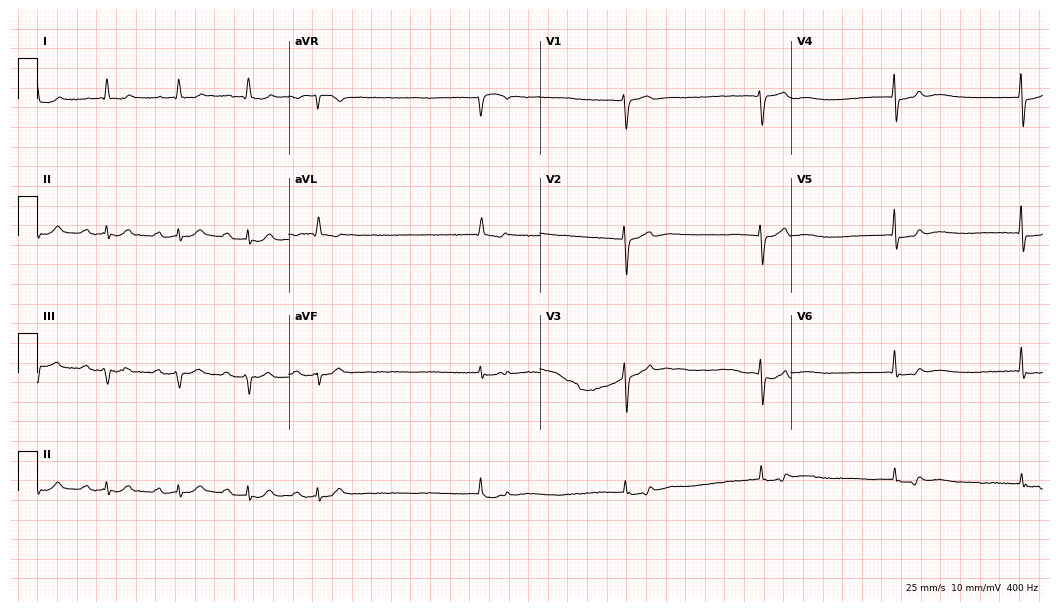
12-lead ECG from a female, 72 years old. Shows first-degree AV block, atrial fibrillation.